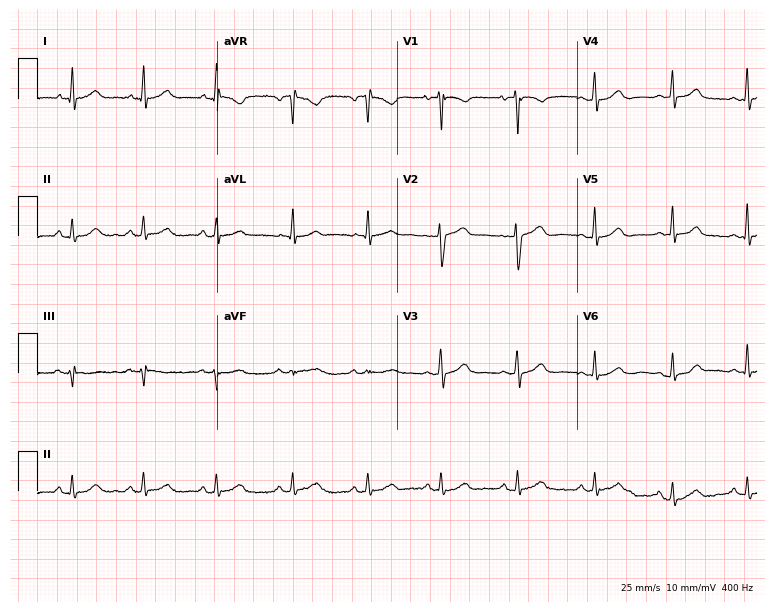
Resting 12-lead electrocardiogram. Patient: a woman, 46 years old. Read as a normal ECG.